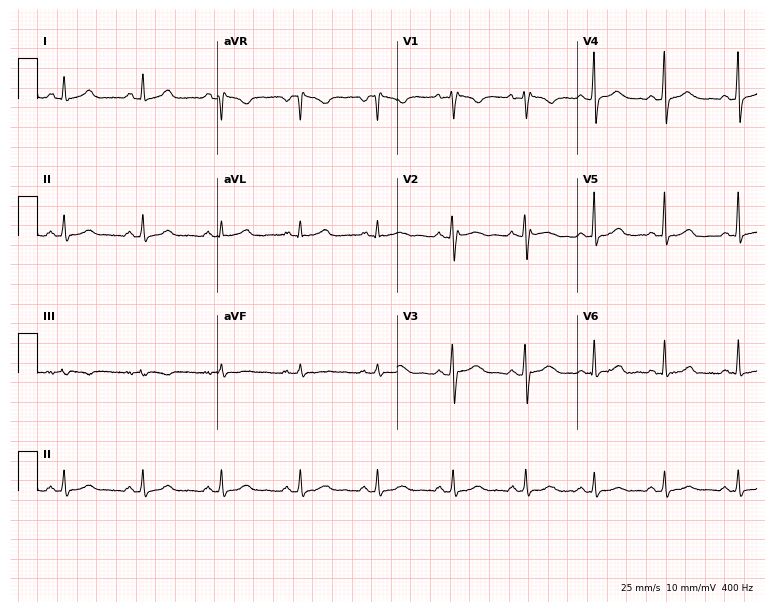
ECG (7.3-second recording at 400 Hz) — a woman, 35 years old. Labelled as a normal ECG.